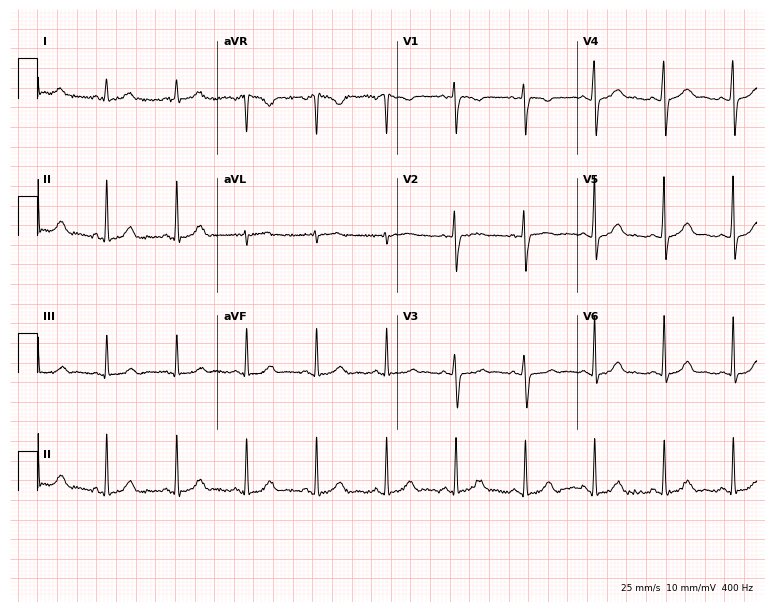
Electrocardiogram, a 29-year-old woman. Overall reading on record: normal ECG.